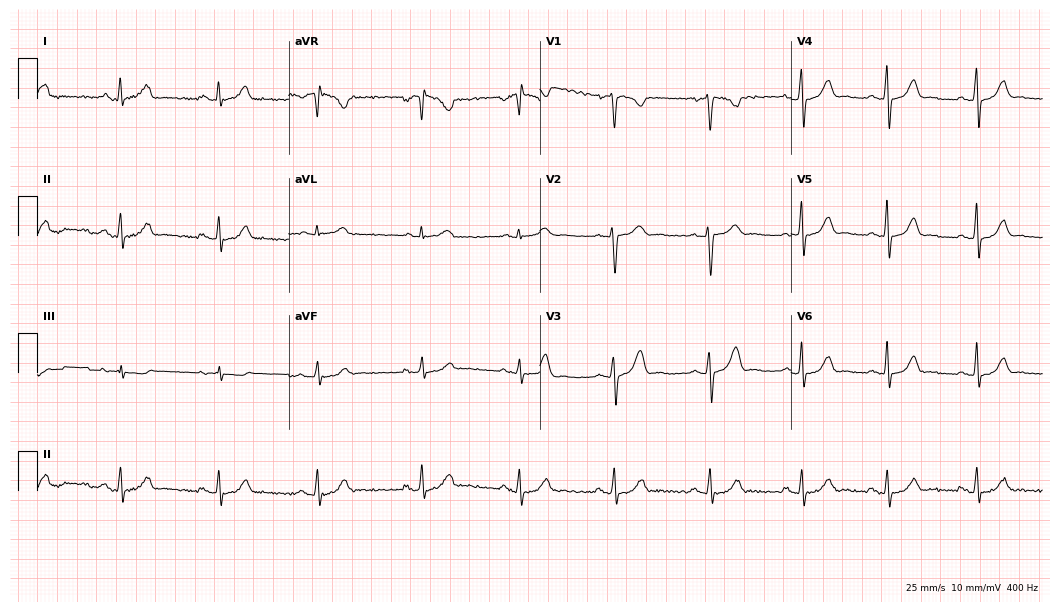
ECG (10.2-second recording at 400 Hz) — a 26-year-old woman. Labelled as a normal ECG.